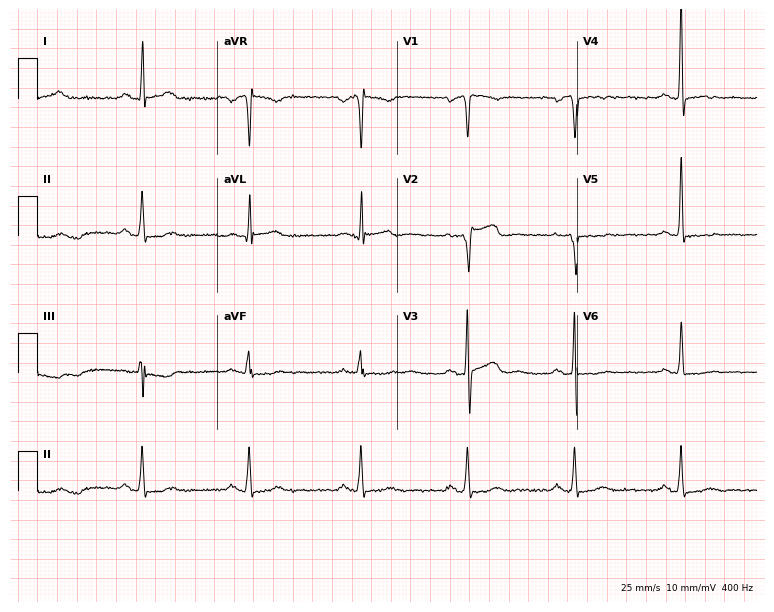
Standard 12-lead ECG recorded from a 47-year-old male. None of these six findings is recorded: first-degree AV block, right bundle branch block, left bundle branch block, sinus bradycardia, atrial fibrillation, sinus tachycardia. Other findings, if any, are not listed.